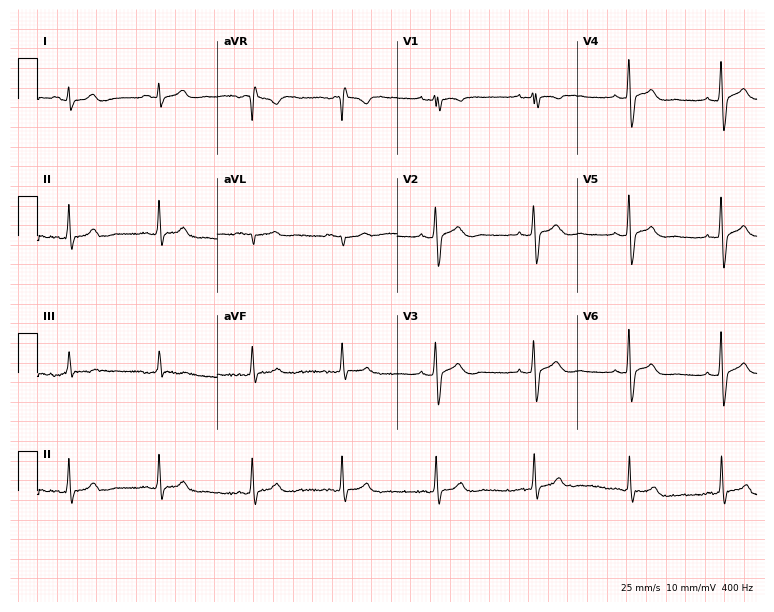
12-lead ECG (7.3-second recording at 400 Hz) from a male, 30 years old. Labelled as a normal ECG.